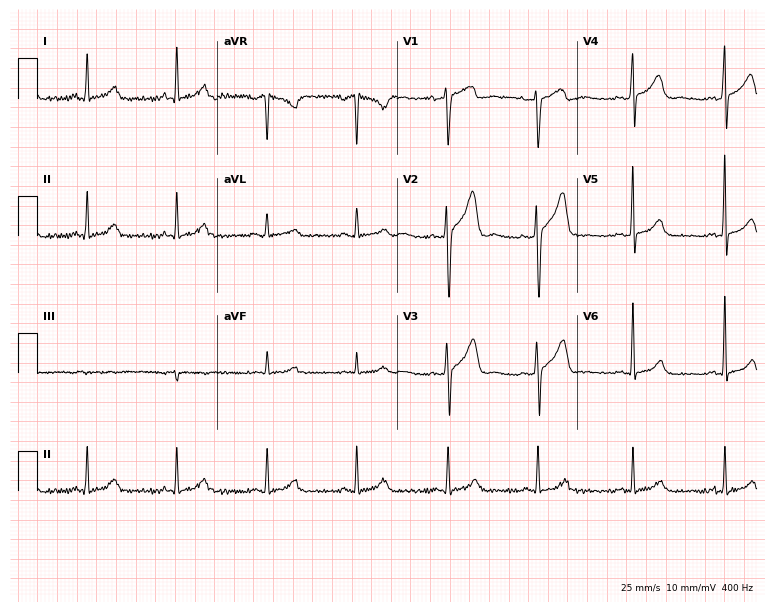
Electrocardiogram, a 52-year-old man. Of the six screened findings (first-degree AV block, right bundle branch block (RBBB), left bundle branch block (LBBB), sinus bradycardia, atrial fibrillation (AF), sinus tachycardia), none is recorded. Findings outside these six are not listed.